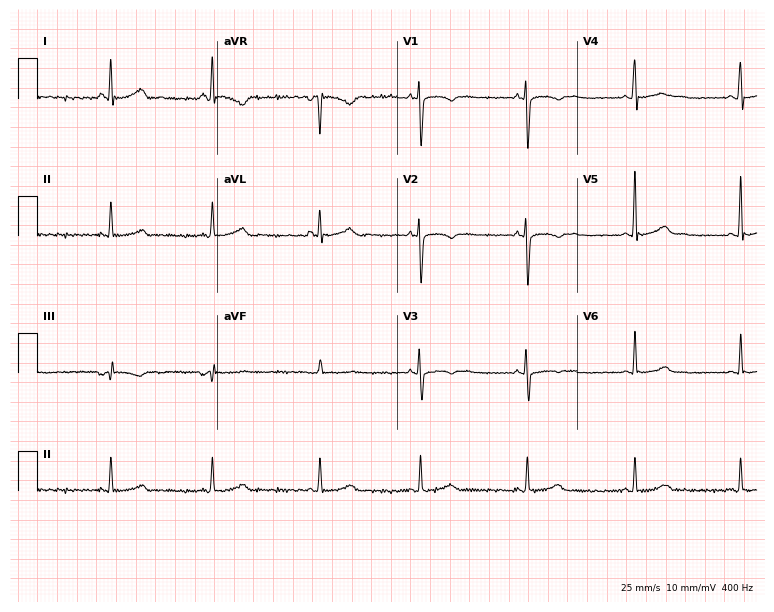
ECG — a female, 26 years old. Screened for six findings — first-degree AV block, right bundle branch block (RBBB), left bundle branch block (LBBB), sinus bradycardia, atrial fibrillation (AF), sinus tachycardia — none is recorded. Findings outside these six are not listed.